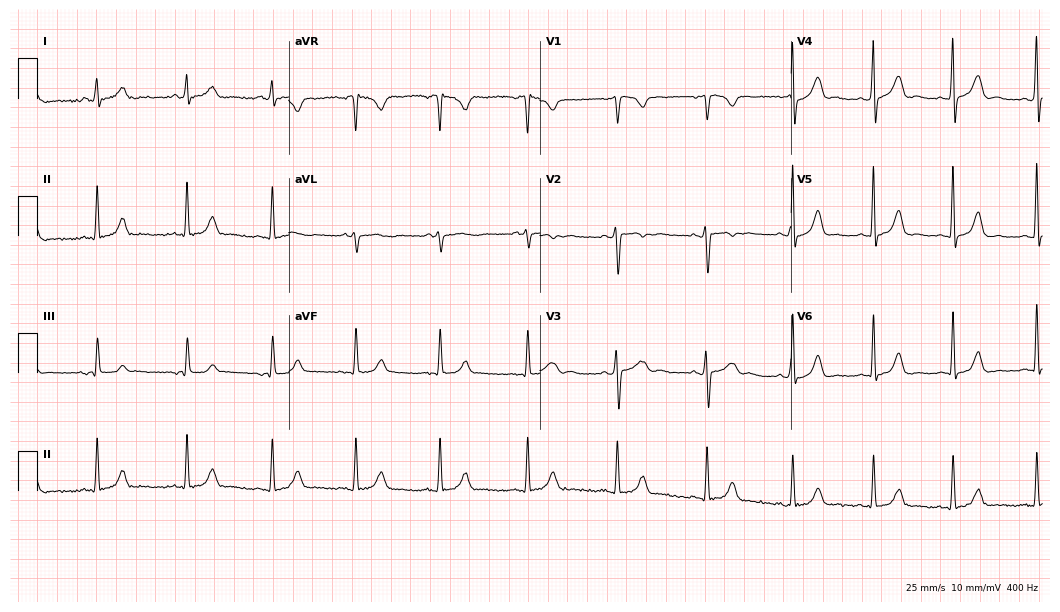
Resting 12-lead electrocardiogram (10.2-second recording at 400 Hz). Patient: a 31-year-old woman. Read as a normal ECG.